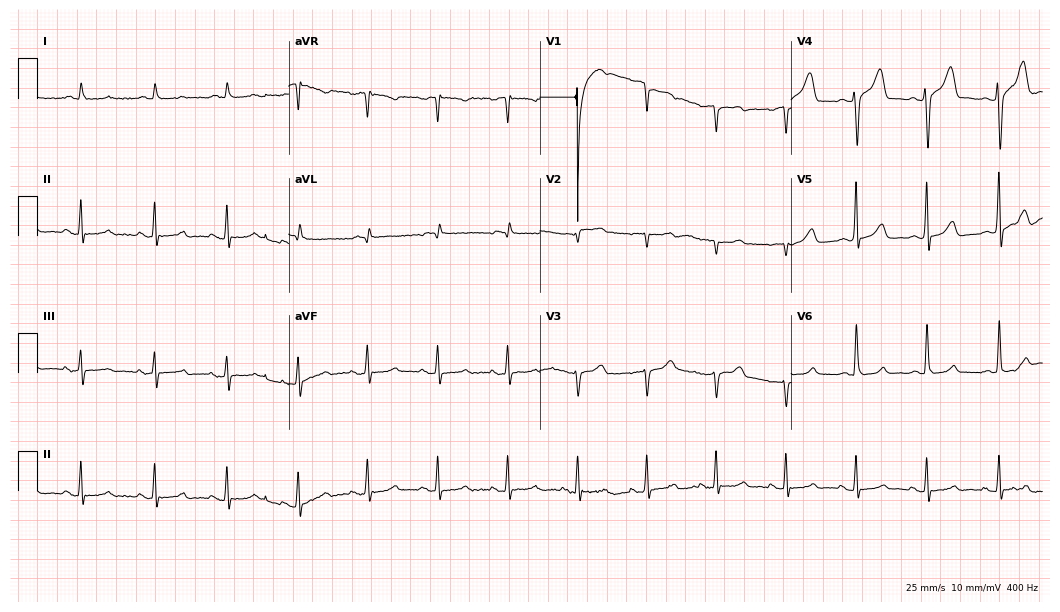
12-lead ECG from a male, 69 years old. Screened for six findings — first-degree AV block, right bundle branch block, left bundle branch block, sinus bradycardia, atrial fibrillation, sinus tachycardia — none is recorded. Only these six findings were labelled.